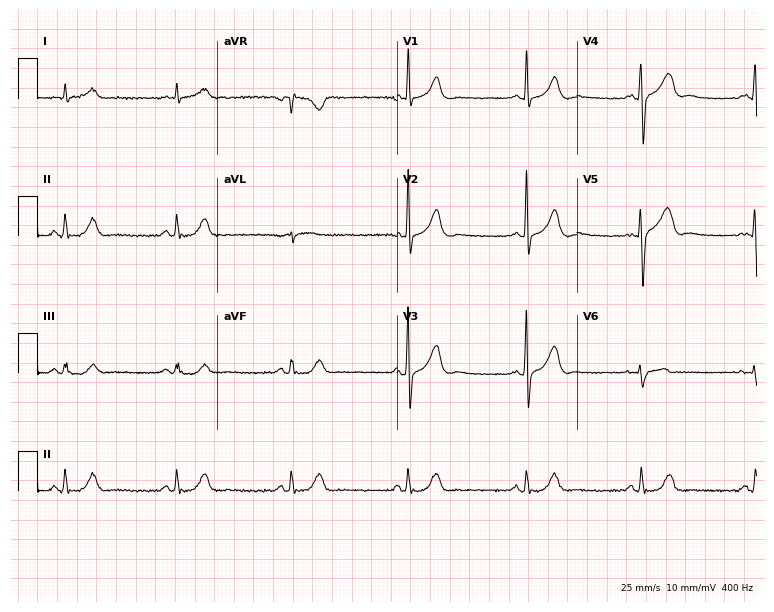
ECG (7.3-second recording at 400 Hz) — a 61-year-old male patient. Labelled as a normal ECG.